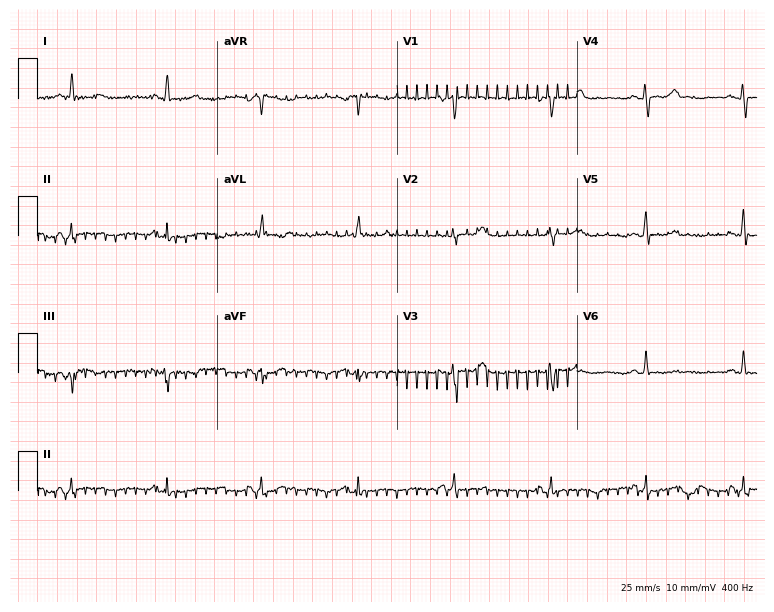
Resting 12-lead electrocardiogram (7.3-second recording at 400 Hz). Patient: a woman, 61 years old. None of these six findings is recorded: first-degree AV block, right bundle branch block, left bundle branch block, sinus bradycardia, atrial fibrillation, sinus tachycardia.